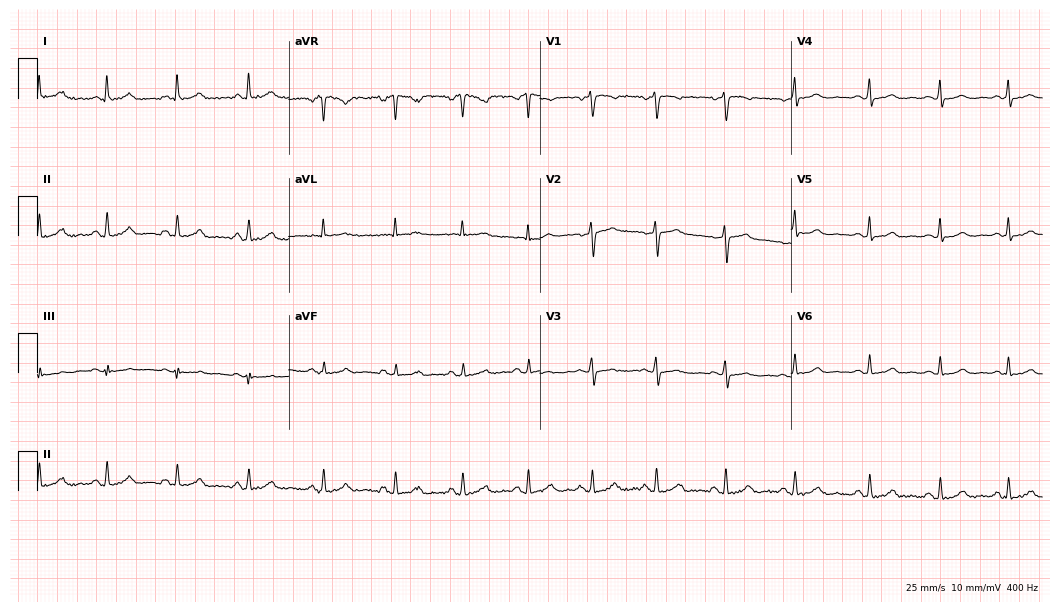
12-lead ECG from a female patient, 44 years old. Labelled as a normal ECG.